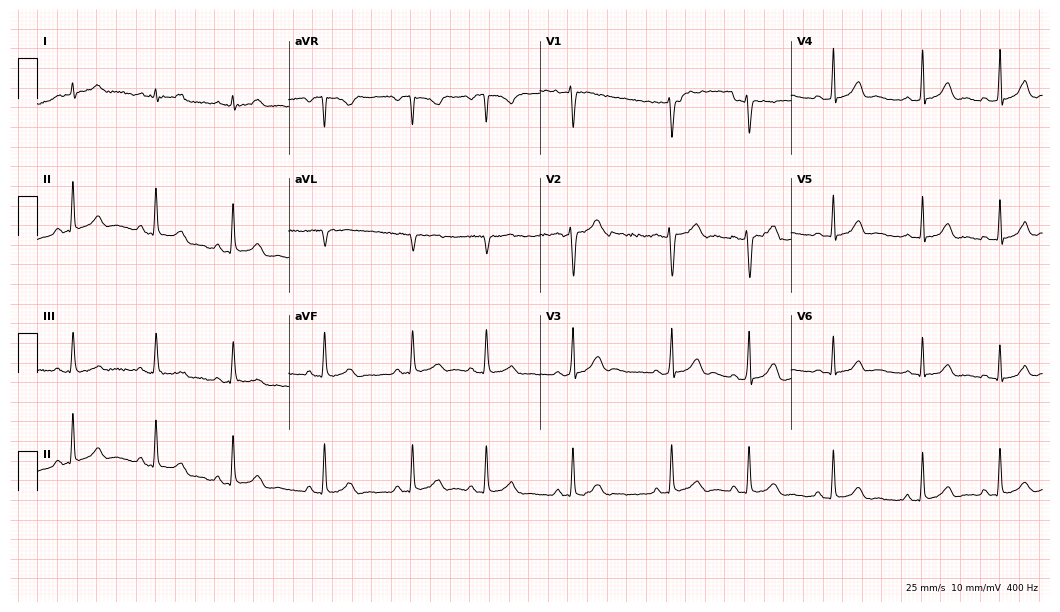
12-lead ECG from a female patient, 19 years old. Recorded interpretation: within normal limits.